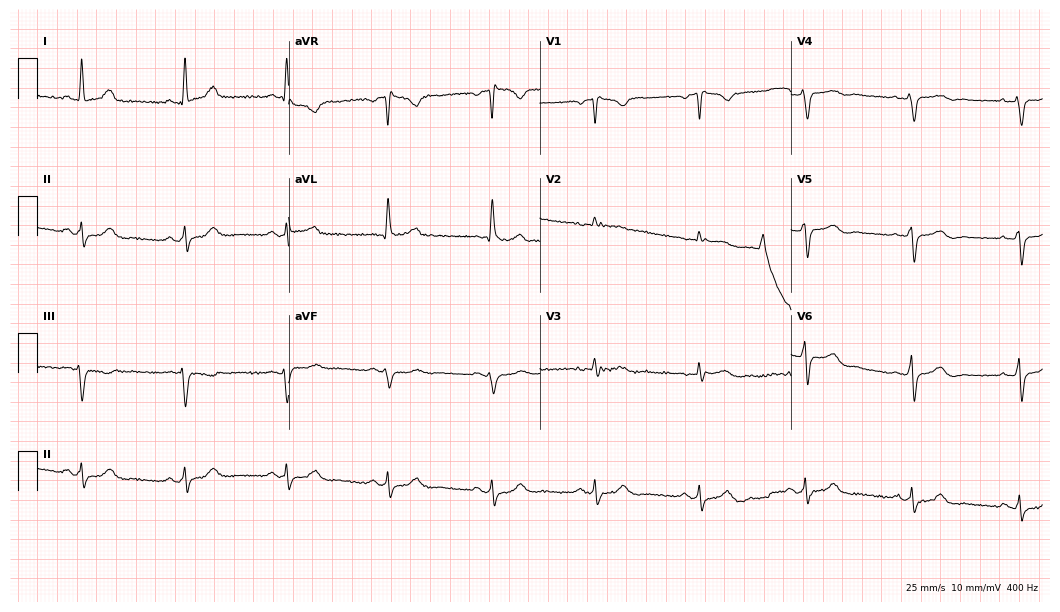
Resting 12-lead electrocardiogram. Patient: a woman, 62 years old. None of these six findings is recorded: first-degree AV block, right bundle branch block, left bundle branch block, sinus bradycardia, atrial fibrillation, sinus tachycardia. Other findings, if any, are not listed.